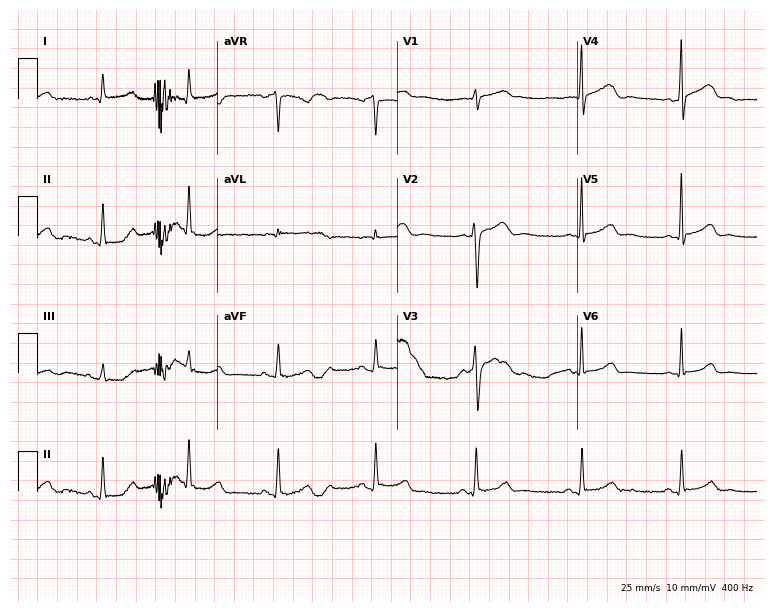
Standard 12-lead ECG recorded from a 43-year-old female (7.3-second recording at 400 Hz). None of these six findings is recorded: first-degree AV block, right bundle branch block, left bundle branch block, sinus bradycardia, atrial fibrillation, sinus tachycardia. Other findings, if any, are not listed.